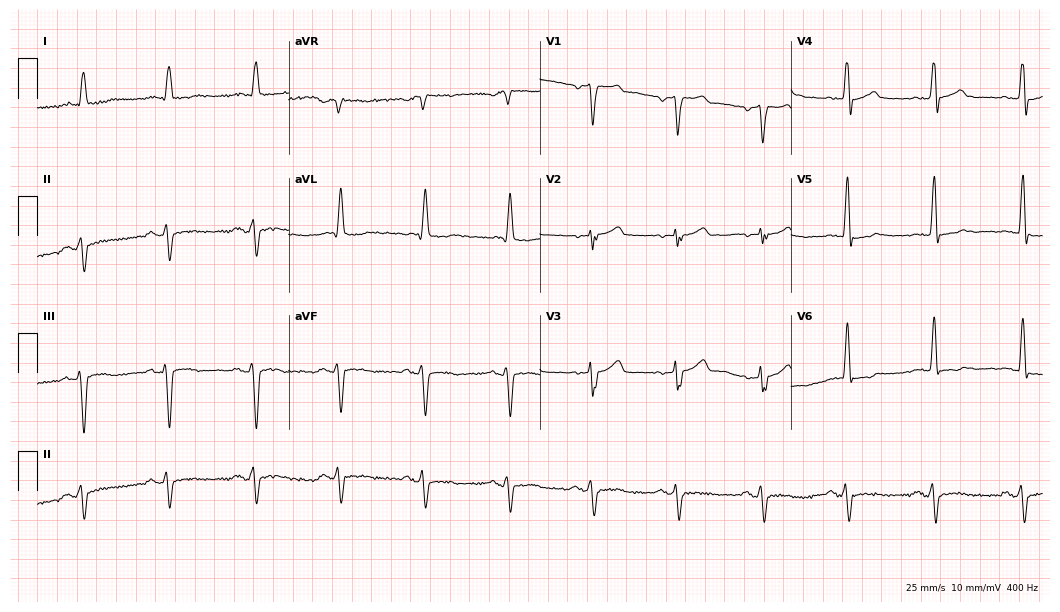
12-lead ECG from a male patient, 63 years old. Screened for six findings — first-degree AV block, right bundle branch block, left bundle branch block, sinus bradycardia, atrial fibrillation, sinus tachycardia — none is recorded.